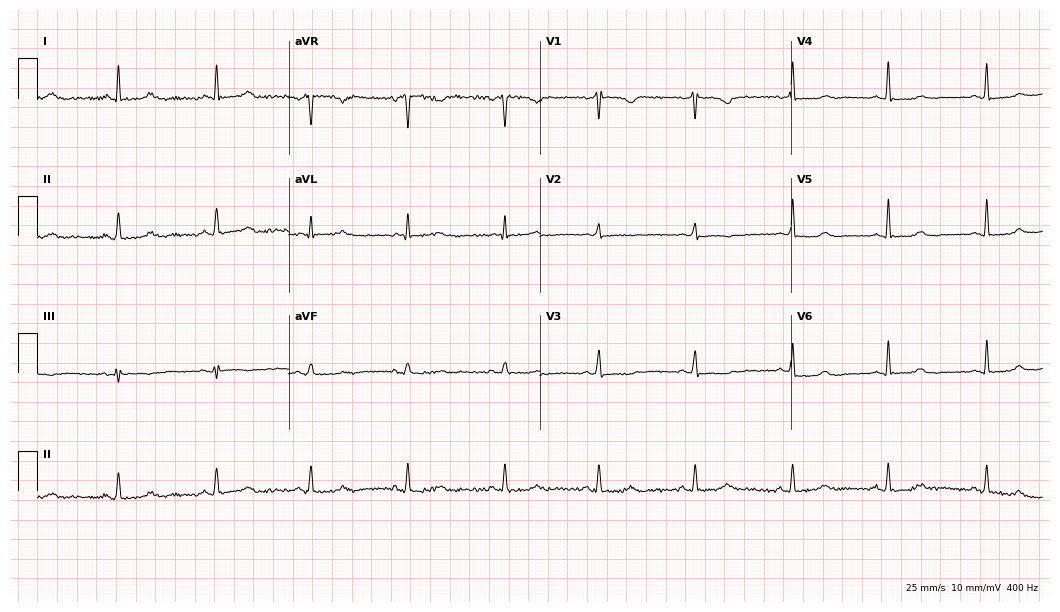
Electrocardiogram (10.2-second recording at 400 Hz), a female patient, 50 years old. Of the six screened findings (first-degree AV block, right bundle branch block, left bundle branch block, sinus bradycardia, atrial fibrillation, sinus tachycardia), none is recorded.